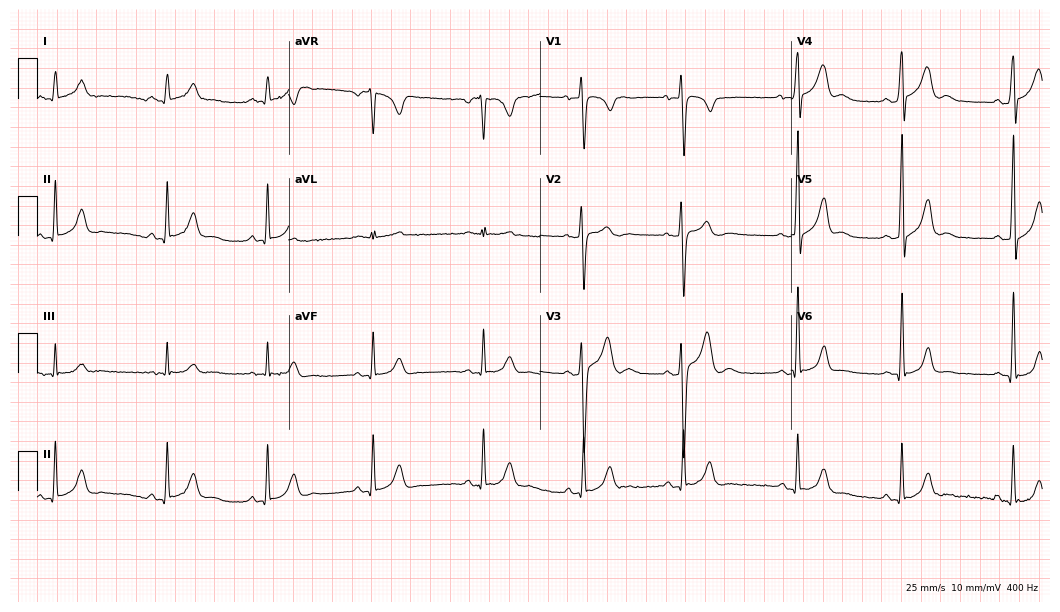
Resting 12-lead electrocardiogram (10.2-second recording at 400 Hz). Patient: a 21-year-old man. Read as a normal ECG.